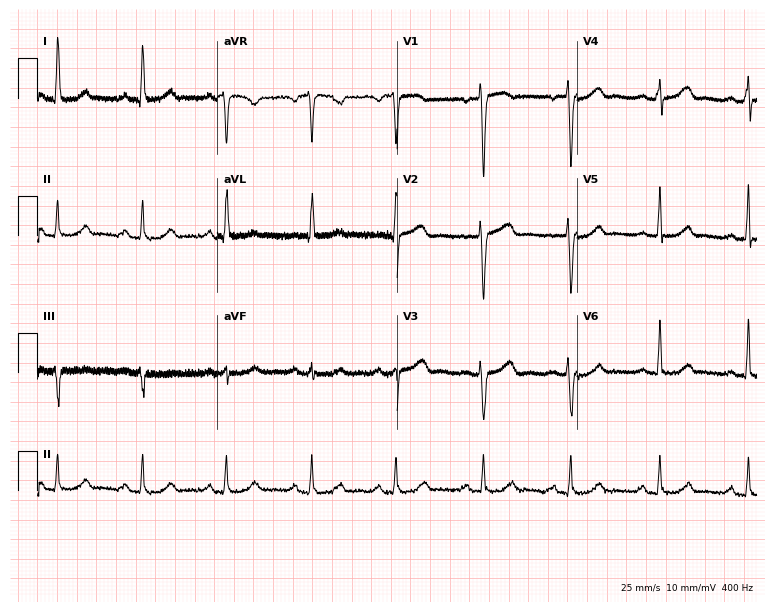
ECG (7.3-second recording at 400 Hz) — a 57-year-old woman. Screened for six findings — first-degree AV block, right bundle branch block (RBBB), left bundle branch block (LBBB), sinus bradycardia, atrial fibrillation (AF), sinus tachycardia — none is recorded. Only these six findings were labelled.